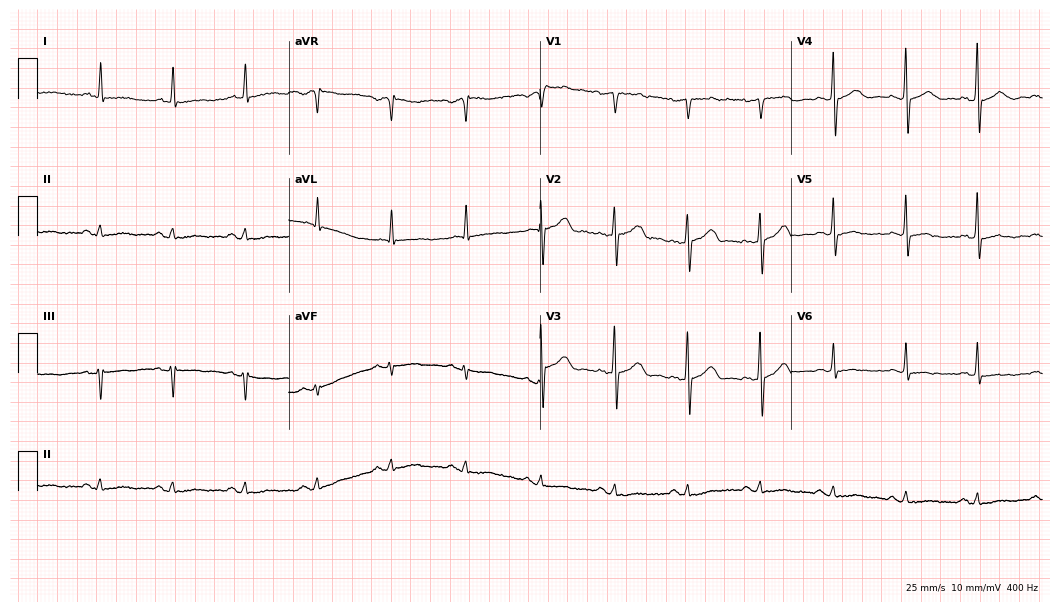
Electrocardiogram (10.2-second recording at 400 Hz), a 55-year-old male patient. Of the six screened findings (first-degree AV block, right bundle branch block, left bundle branch block, sinus bradycardia, atrial fibrillation, sinus tachycardia), none is recorded. Only these six findings were labelled.